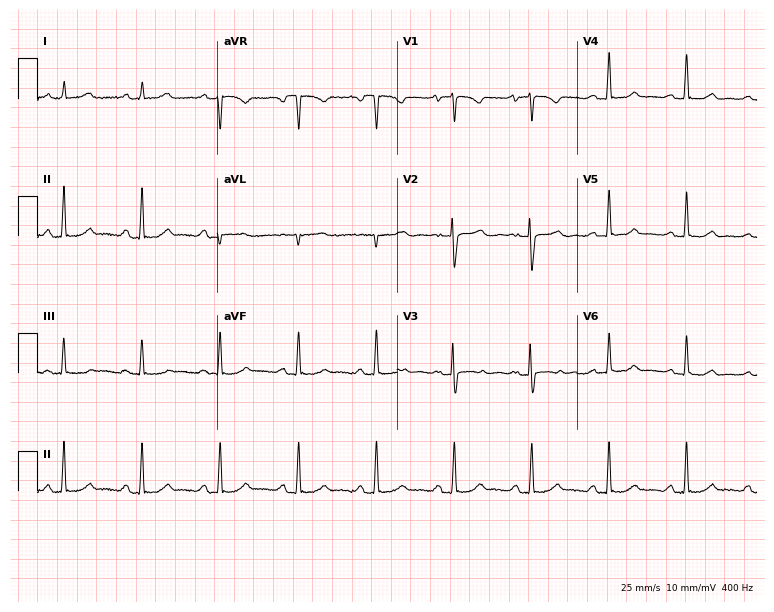
ECG — a 23-year-old female. Labelled as a normal ECG.